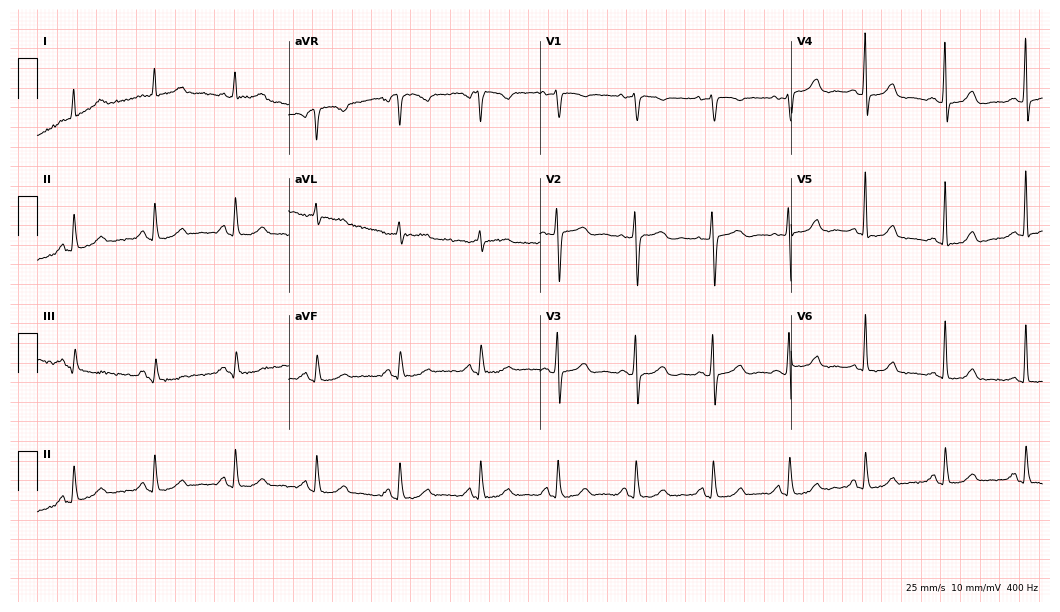
12-lead ECG (10.2-second recording at 400 Hz) from a 56-year-old female. Labelled as a normal ECG.